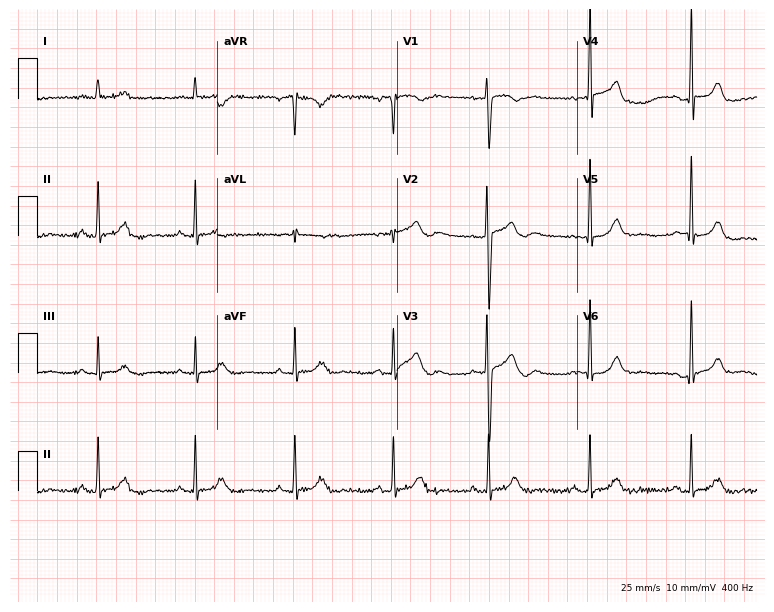
Electrocardiogram, a 27-year-old male. Overall reading on record: normal ECG.